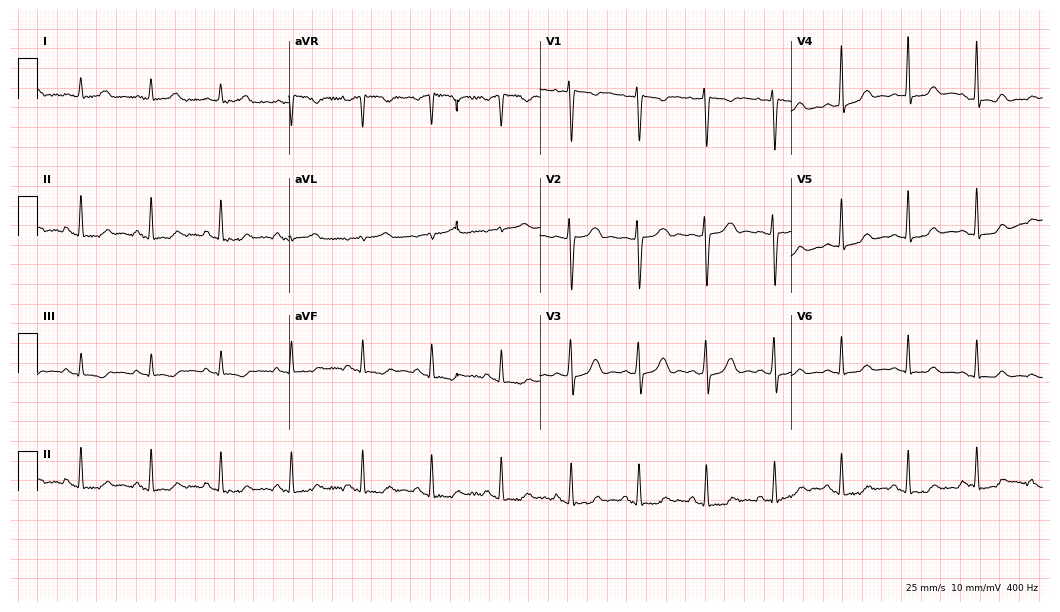
12-lead ECG (10.2-second recording at 400 Hz) from a female patient, 42 years old. Labelled as a normal ECG.